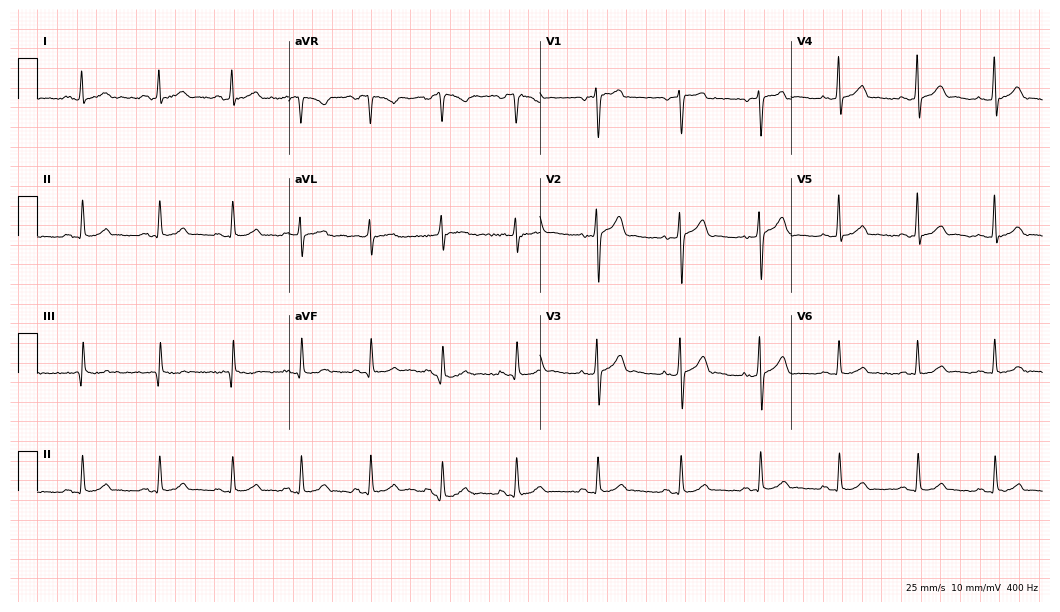
ECG — a 44-year-old male patient. Labelled as a normal ECG.